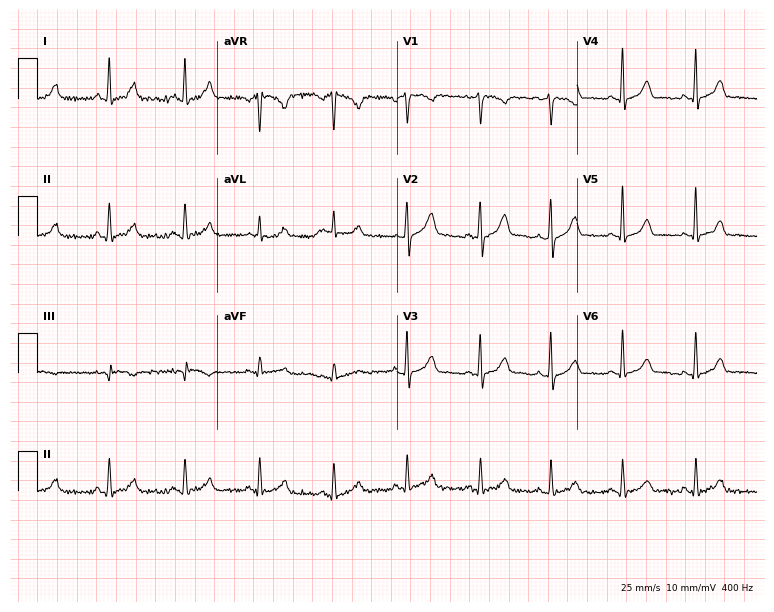
Electrocardiogram, a female, 38 years old. Of the six screened findings (first-degree AV block, right bundle branch block, left bundle branch block, sinus bradycardia, atrial fibrillation, sinus tachycardia), none is recorded.